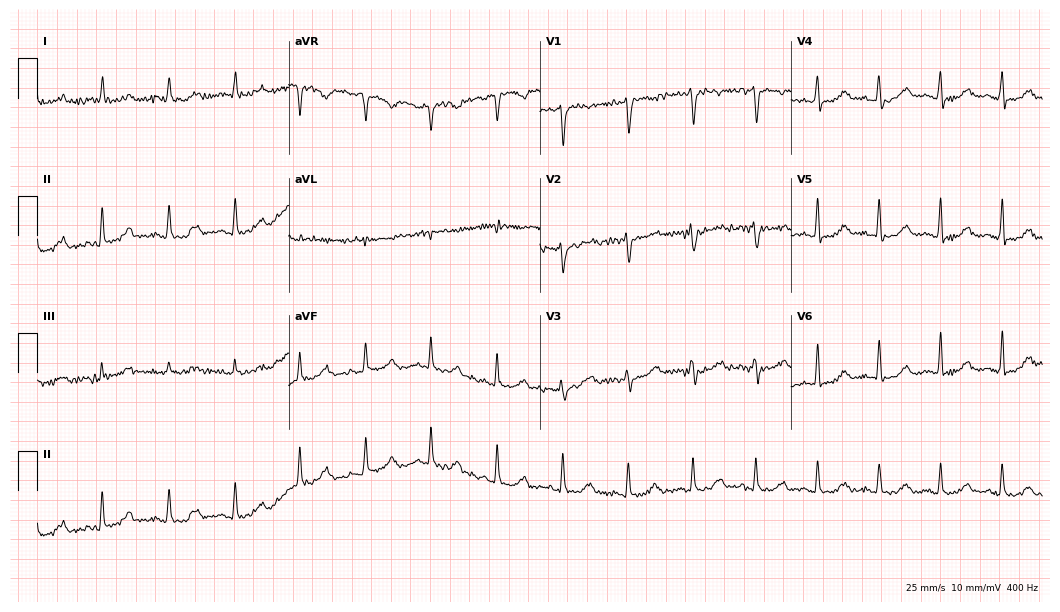
Electrocardiogram, a female patient, 74 years old. Of the six screened findings (first-degree AV block, right bundle branch block, left bundle branch block, sinus bradycardia, atrial fibrillation, sinus tachycardia), none is recorded. Findings outside these six are not listed.